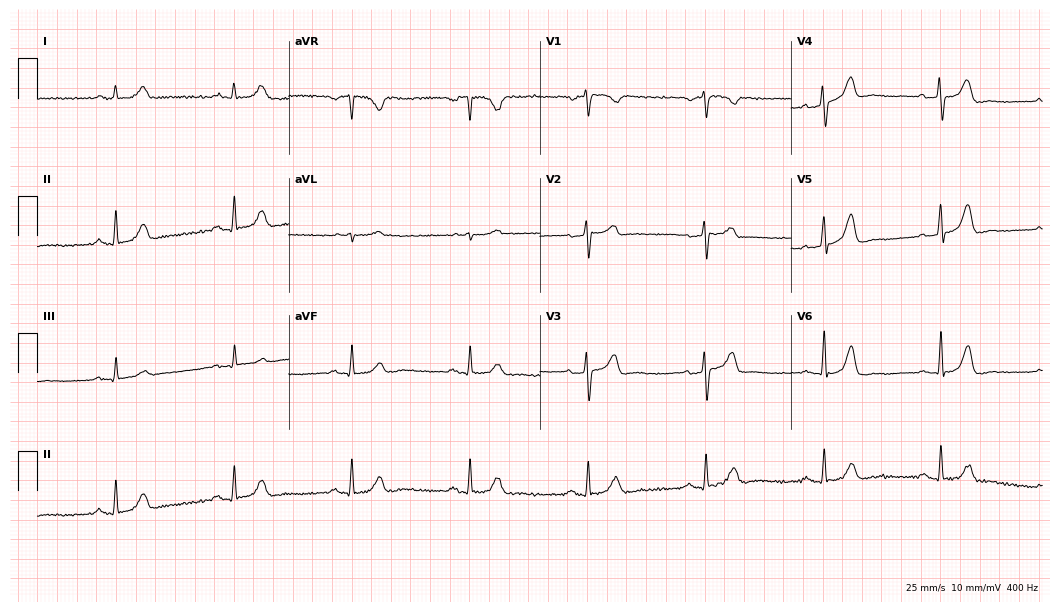
Resting 12-lead electrocardiogram. Patient: a man, 65 years old. None of these six findings is recorded: first-degree AV block, right bundle branch block, left bundle branch block, sinus bradycardia, atrial fibrillation, sinus tachycardia.